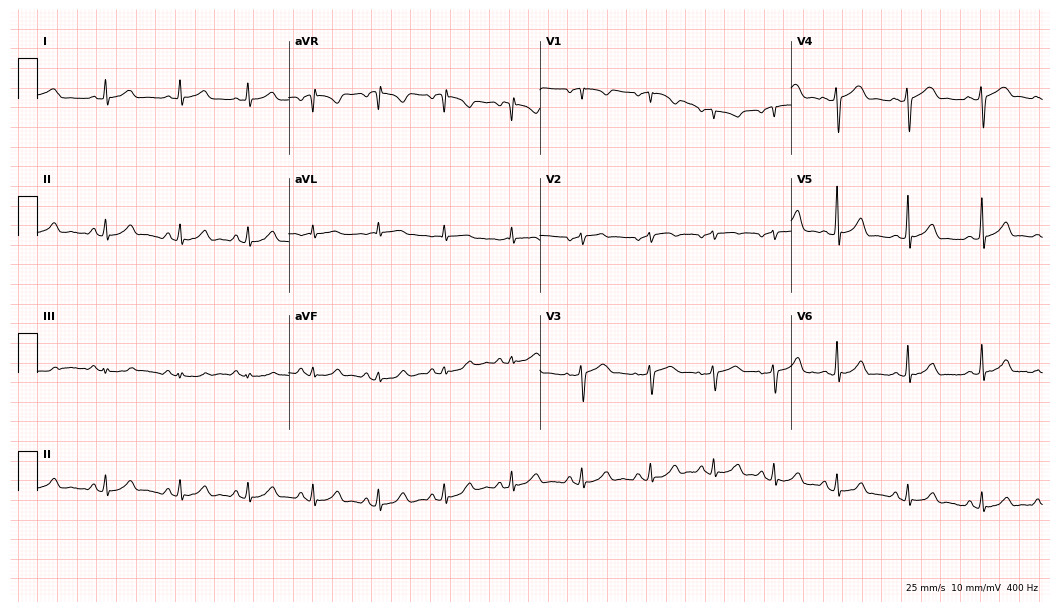
Electrocardiogram (10.2-second recording at 400 Hz), a female, 40 years old. Overall reading on record: normal ECG.